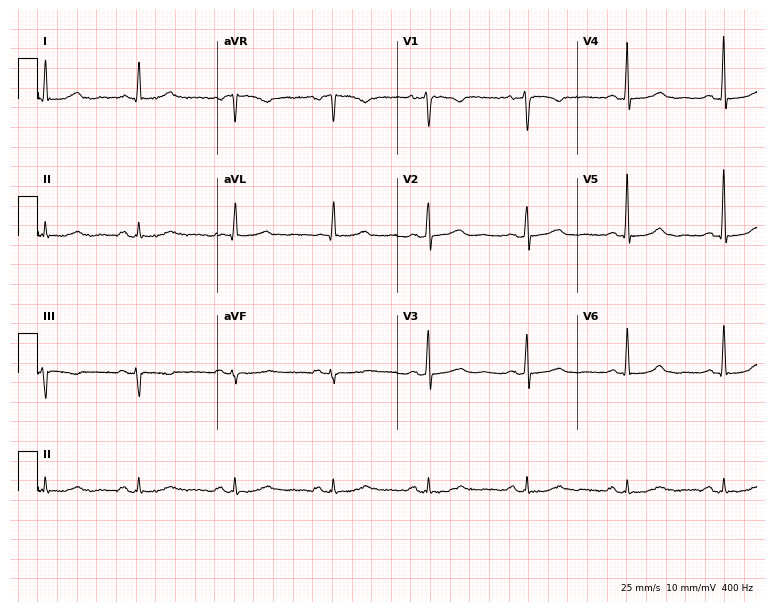
Resting 12-lead electrocardiogram (7.3-second recording at 400 Hz). Patient: a female, 61 years old. None of these six findings is recorded: first-degree AV block, right bundle branch block, left bundle branch block, sinus bradycardia, atrial fibrillation, sinus tachycardia.